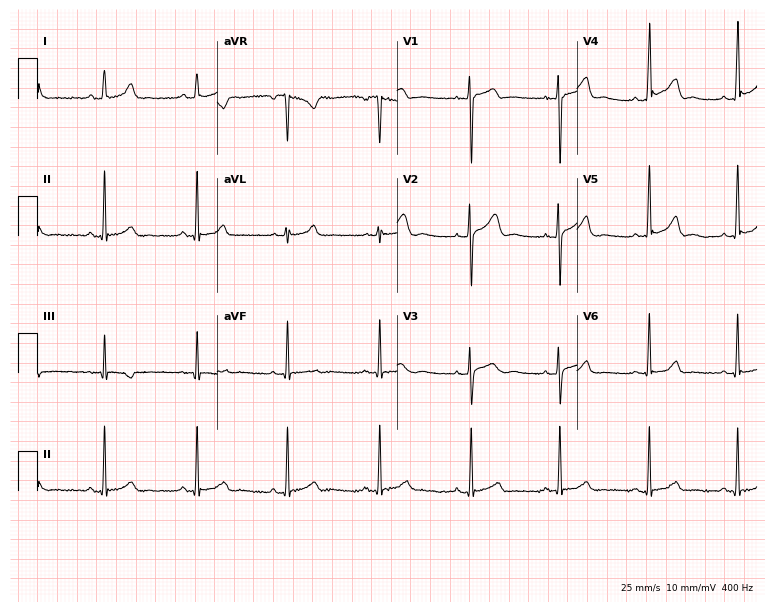
Electrocardiogram, a 26-year-old woman. Overall reading on record: normal ECG.